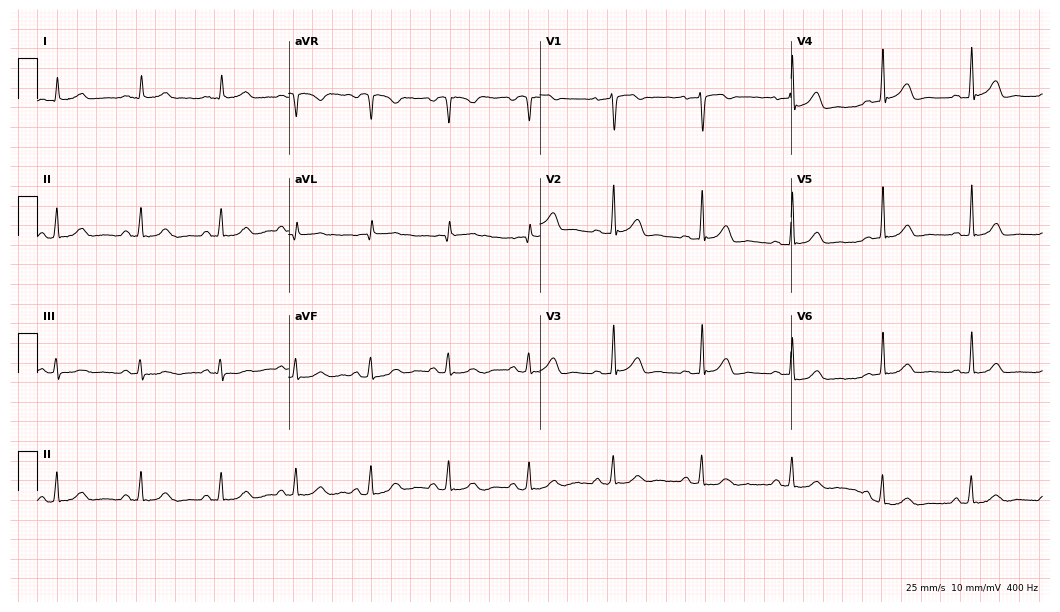
Standard 12-lead ECG recorded from a 65-year-old male patient (10.2-second recording at 400 Hz). None of these six findings is recorded: first-degree AV block, right bundle branch block, left bundle branch block, sinus bradycardia, atrial fibrillation, sinus tachycardia.